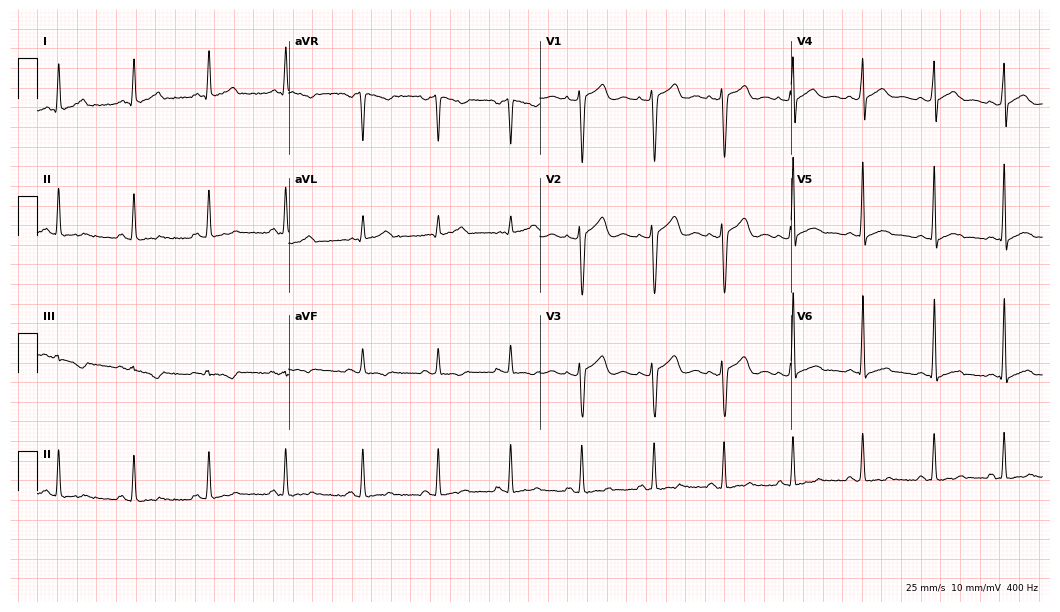
Standard 12-lead ECG recorded from a 25-year-old male (10.2-second recording at 400 Hz). Read as a normal ECG.